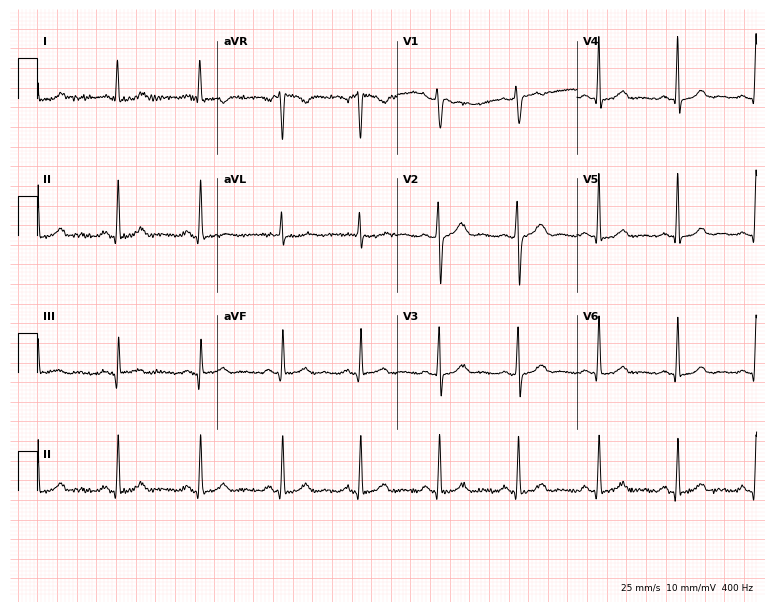
Standard 12-lead ECG recorded from a female, 21 years old (7.3-second recording at 400 Hz). Read as a normal ECG.